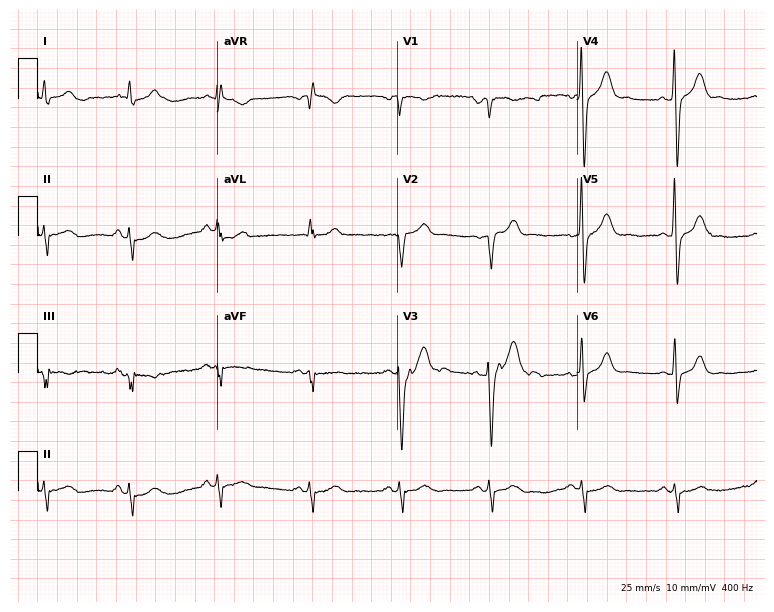
ECG — a male patient, 53 years old. Screened for six findings — first-degree AV block, right bundle branch block, left bundle branch block, sinus bradycardia, atrial fibrillation, sinus tachycardia — none is recorded. Only these six findings were labelled.